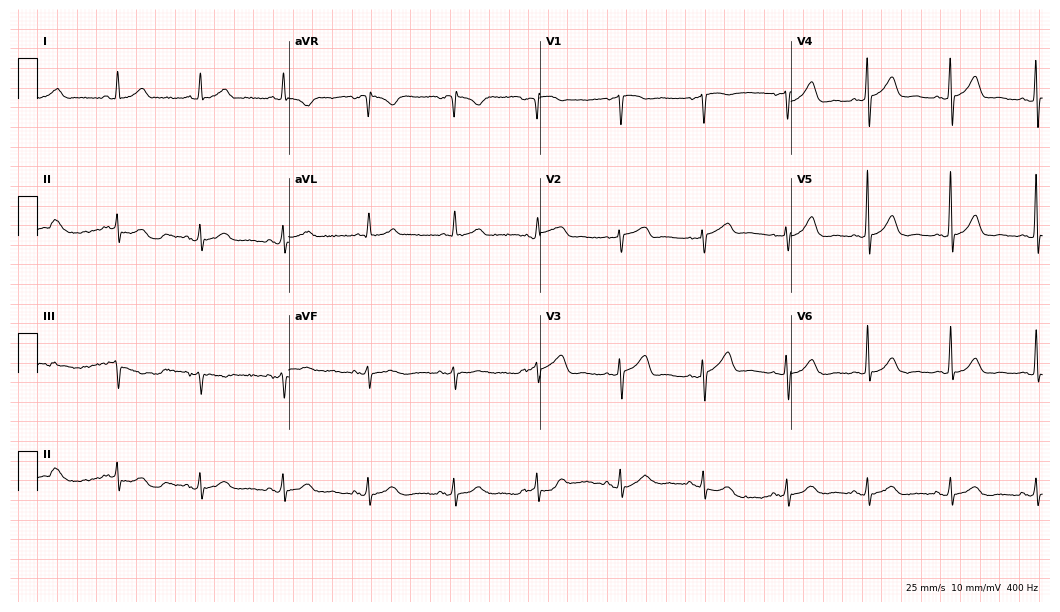
12-lead ECG (10.2-second recording at 400 Hz) from a 69-year-old female. Labelled as a normal ECG.